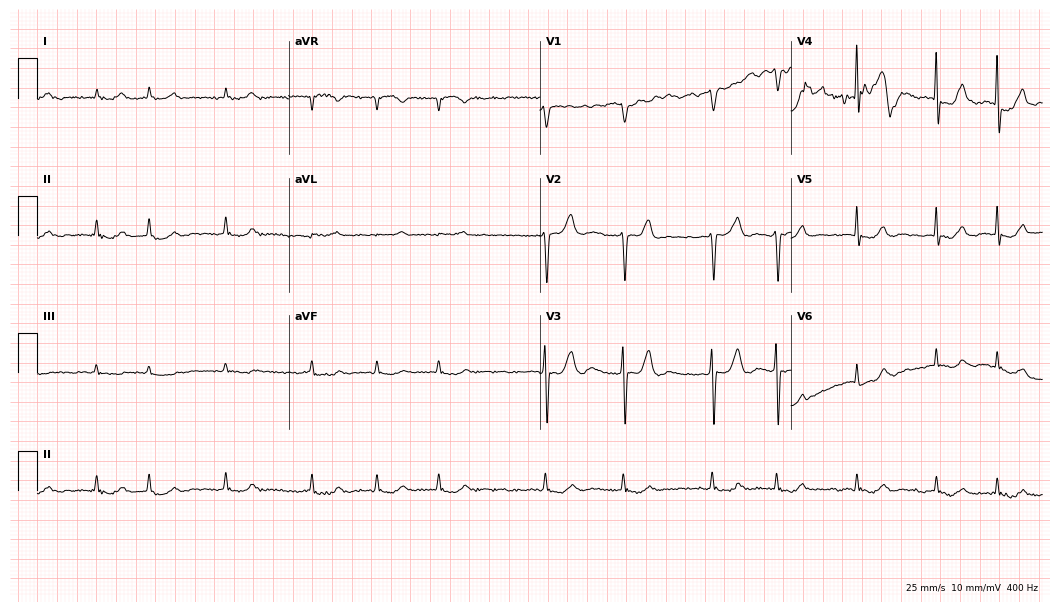
12-lead ECG (10.2-second recording at 400 Hz) from a 78-year-old female. Findings include atrial fibrillation (AF).